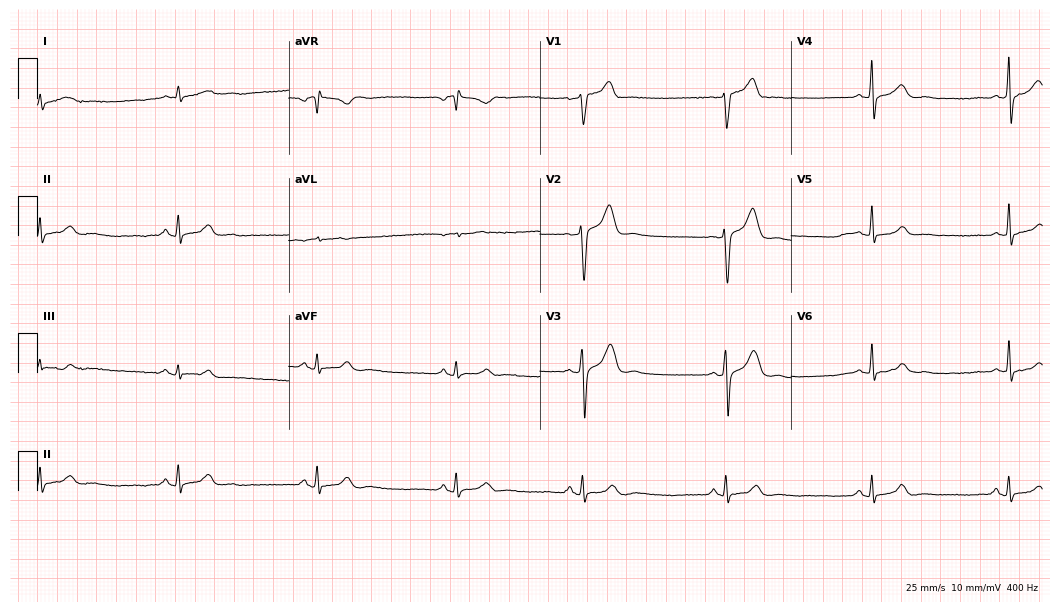
Standard 12-lead ECG recorded from a 43-year-old man. The tracing shows sinus bradycardia (a sinus rate of 50 beats per minute or less).